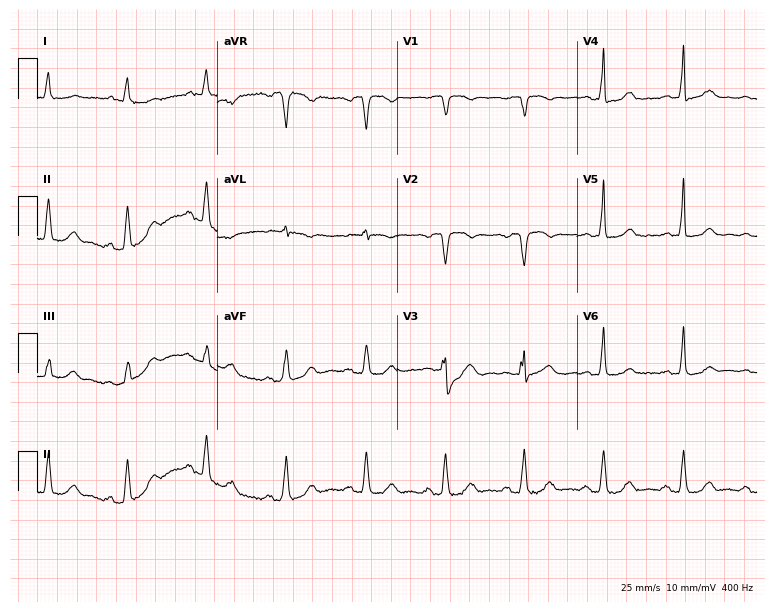
12-lead ECG (7.3-second recording at 400 Hz) from a male, 67 years old. Screened for six findings — first-degree AV block, right bundle branch block, left bundle branch block, sinus bradycardia, atrial fibrillation, sinus tachycardia — none is recorded.